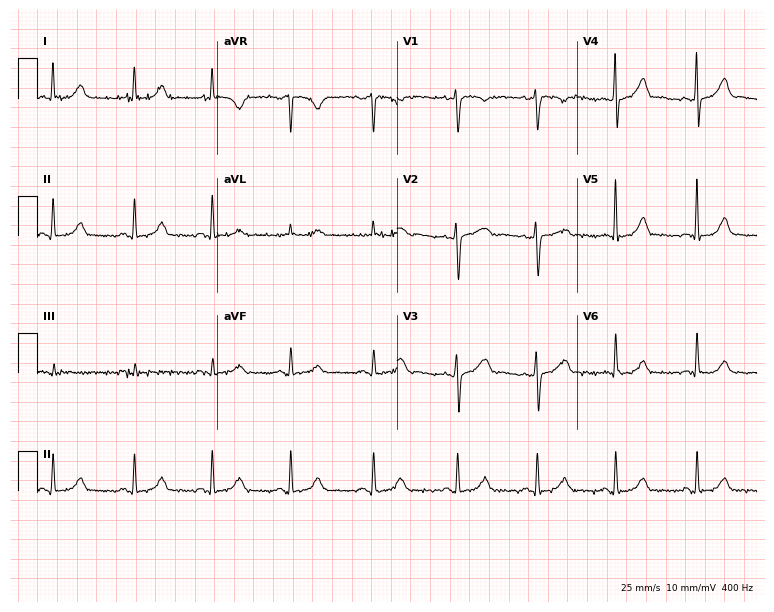
Electrocardiogram (7.3-second recording at 400 Hz), a female, 32 years old. Overall reading on record: normal ECG.